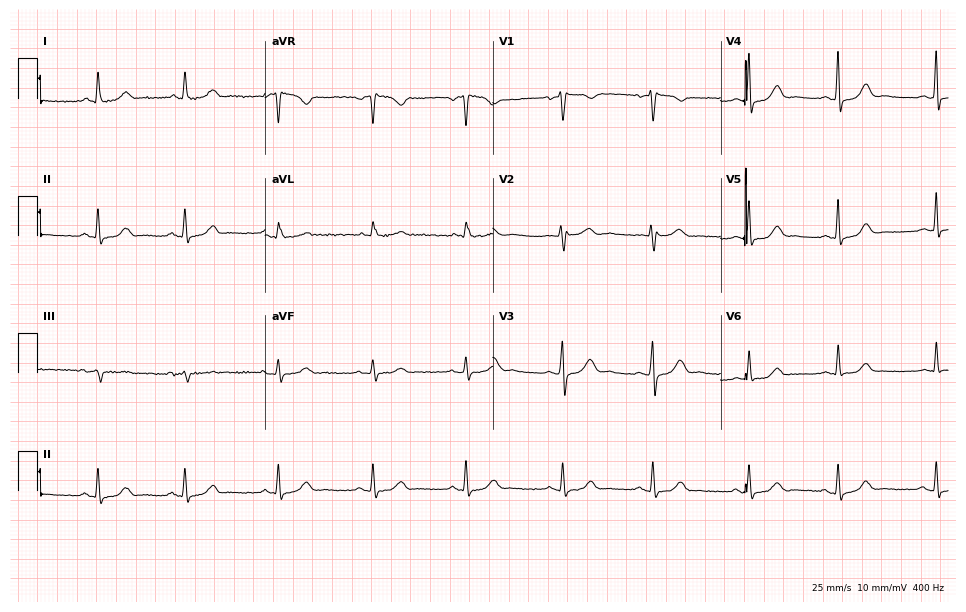
Resting 12-lead electrocardiogram (9.3-second recording at 400 Hz). Patient: a female, 35 years old. Read as a normal ECG.